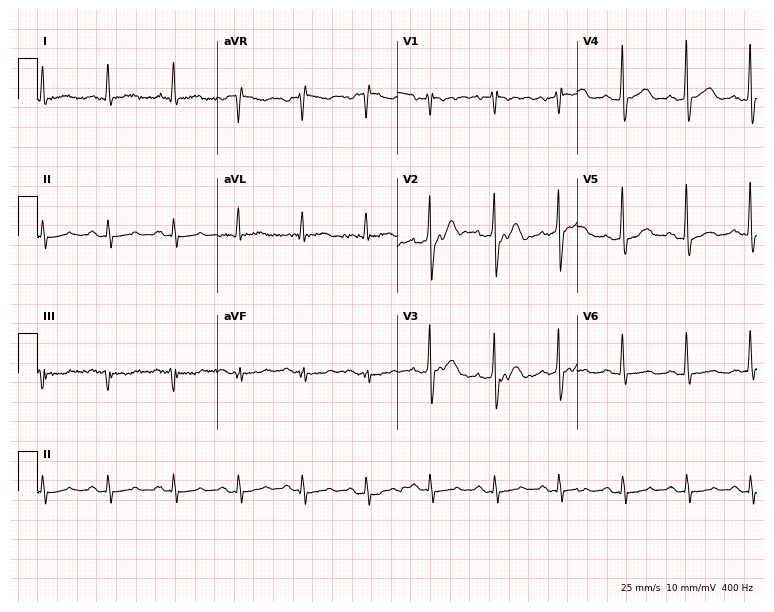
ECG — a 52-year-old male patient. Labelled as a normal ECG.